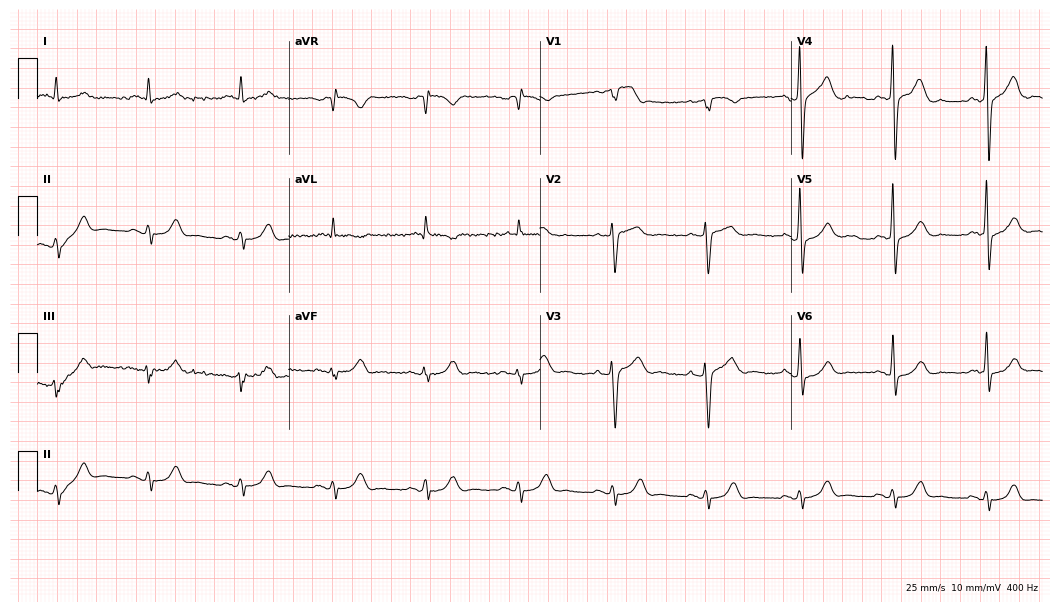
Resting 12-lead electrocardiogram (10.2-second recording at 400 Hz). Patient: a 75-year-old male. Read as a normal ECG.